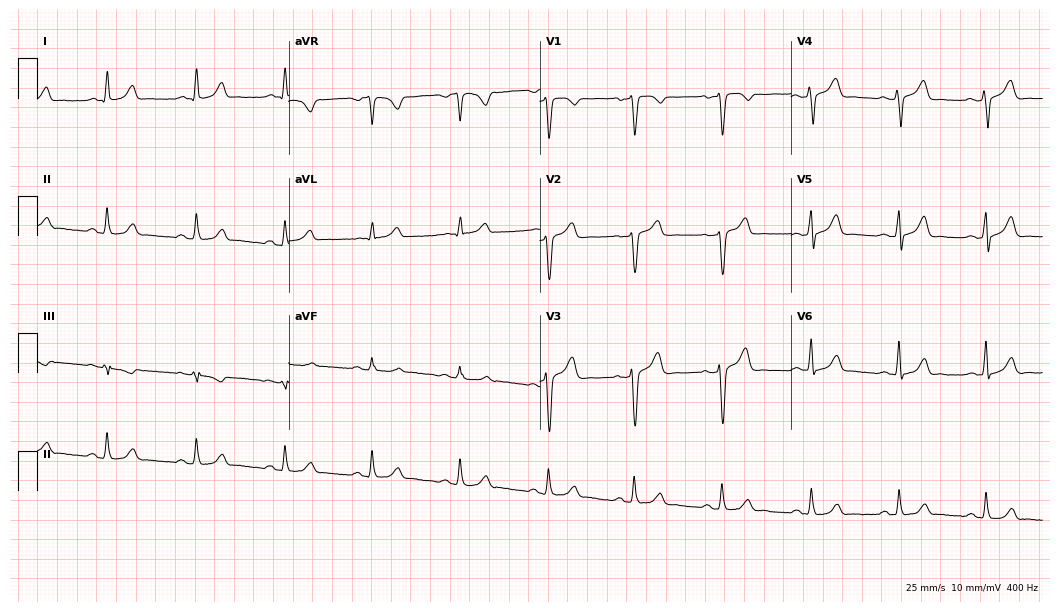
Standard 12-lead ECG recorded from a 35-year-old man (10.2-second recording at 400 Hz). None of these six findings is recorded: first-degree AV block, right bundle branch block (RBBB), left bundle branch block (LBBB), sinus bradycardia, atrial fibrillation (AF), sinus tachycardia. Other findings, if any, are not listed.